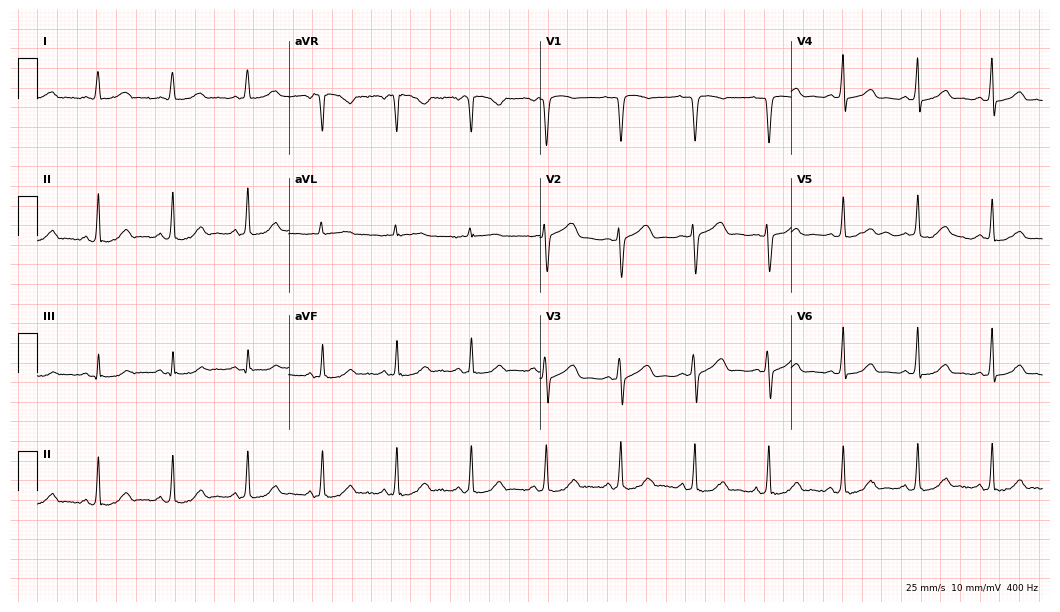
12-lead ECG from a female, 46 years old (10.2-second recording at 400 Hz). No first-degree AV block, right bundle branch block (RBBB), left bundle branch block (LBBB), sinus bradycardia, atrial fibrillation (AF) or sinus tachycardia recorded for this tracing. Other findings, if any, are not listed.